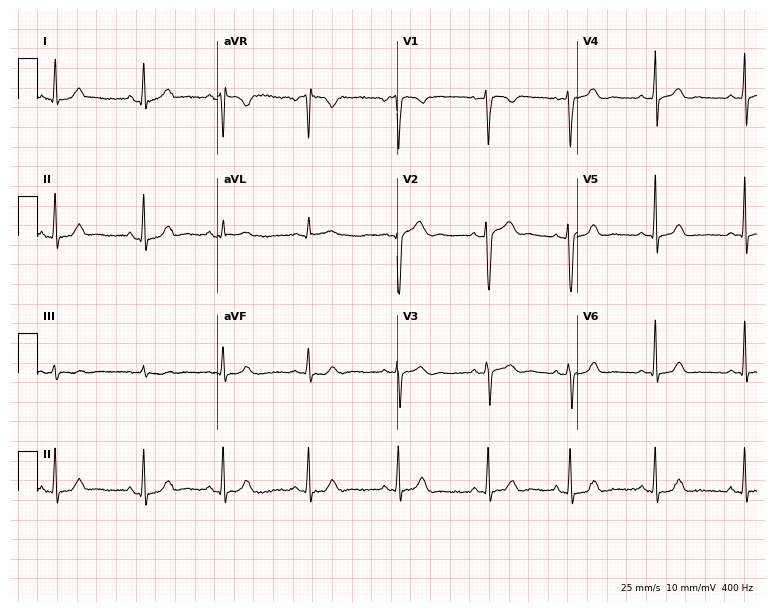
ECG — a female patient, 29 years old. Labelled as a normal ECG.